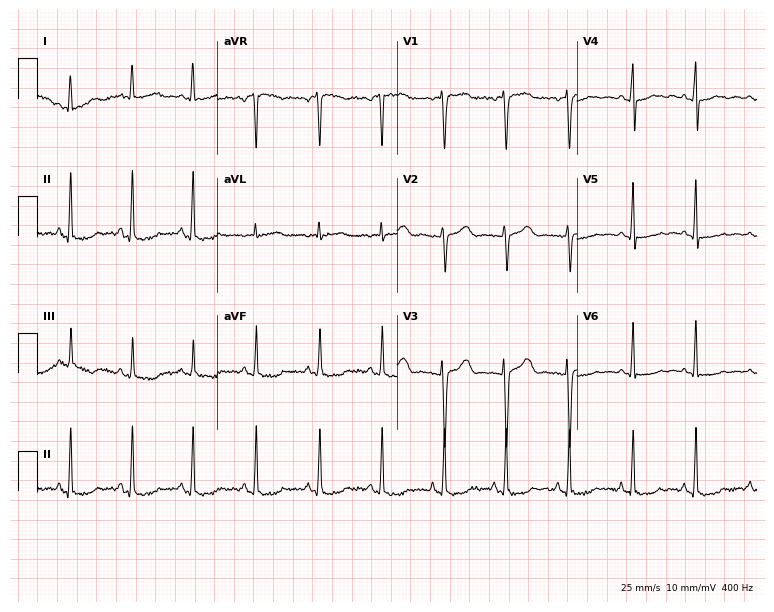
Resting 12-lead electrocardiogram (7.3-second recording at 400 Hz). Patient: a 53-year-old man. None of these six findings is recorded: first-degree AV block, right bundle branch block, left bundle branch block, sinus bradycardia, atrial fibrillation, sinus tachycardia.